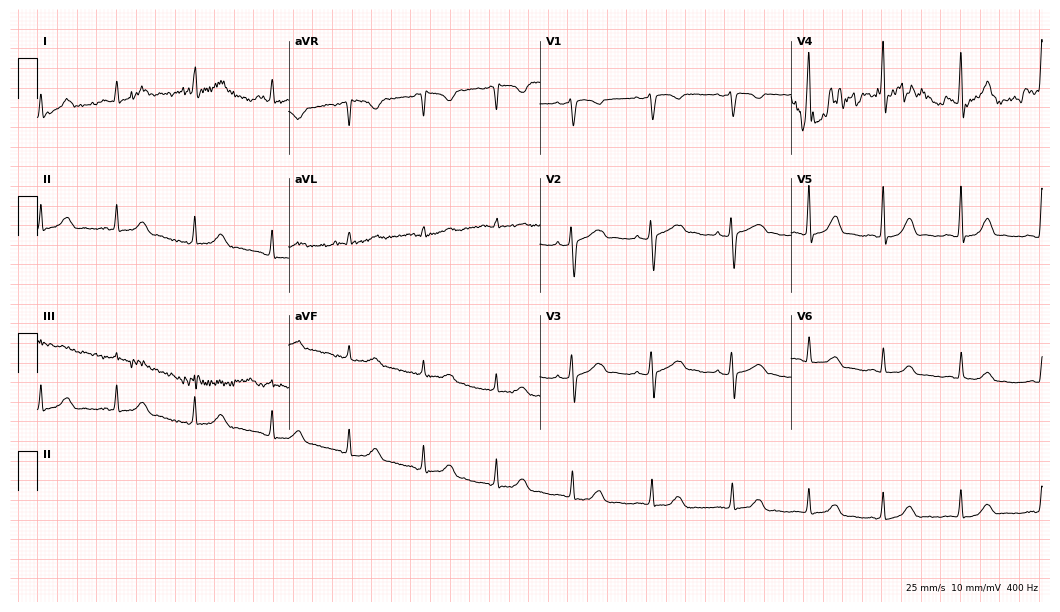
12-lead ECG from a female, 37 years old (10.2-second recording at 400 Hz). No first-degree AV block, right bundle branch block, left bundle branch block, sinus bradycardia, atrial fibrillation or sinus tachycardia recorded for this tracing.